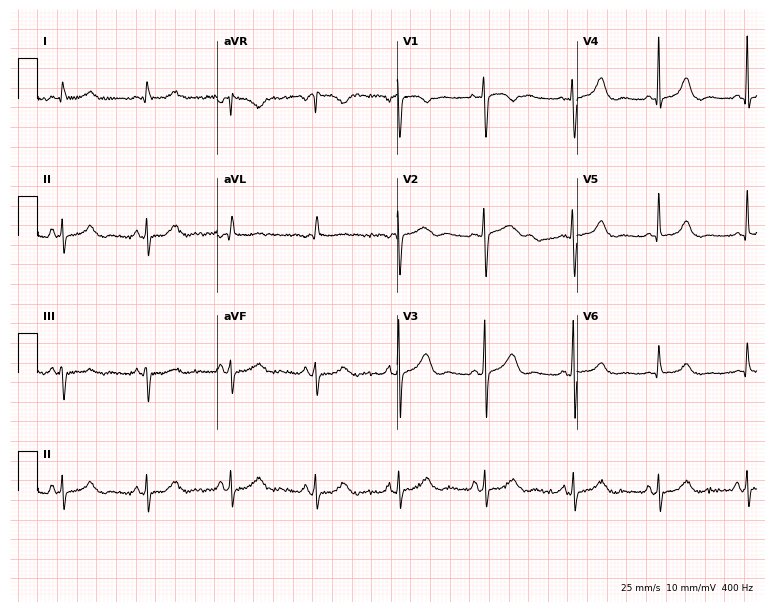
Electrocardiogram, a 60-year-old woman. Of the six screened findings (first-degree AV block, right bundle branch block, left bundle branch block, sinus bradycardia, atrial fibrillation, sinus tachycardia), none is recorded.